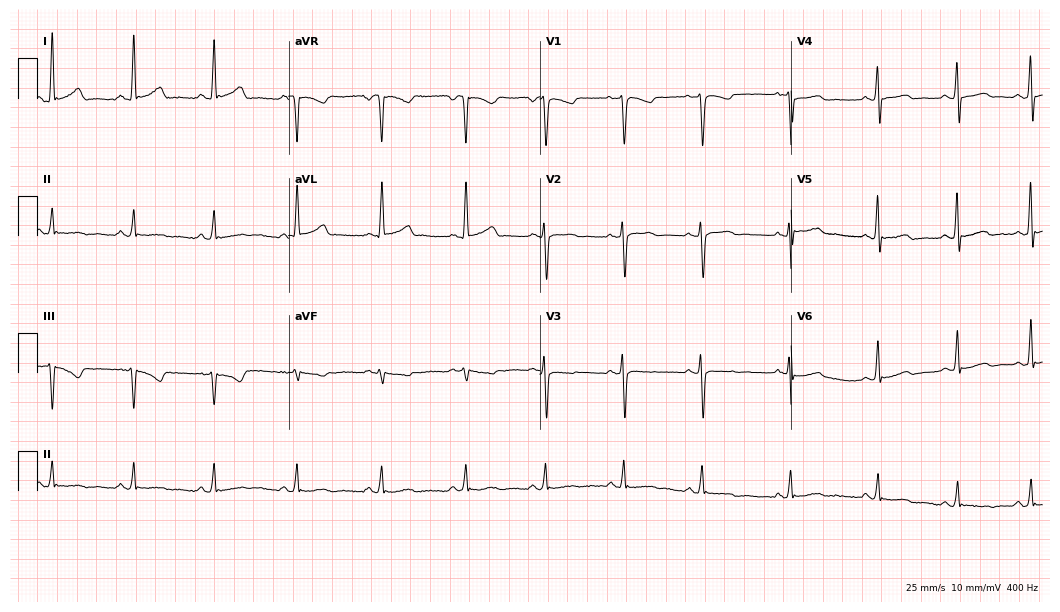
12-lead ECG from a female patient, 44 years old. No first-degree AV block, right bundle branch block, left bundle branch block, sinus bradycardia, atrial fibrillation or sinus tachycardia recorded for this tracing. Other findings, if any, are not listed.